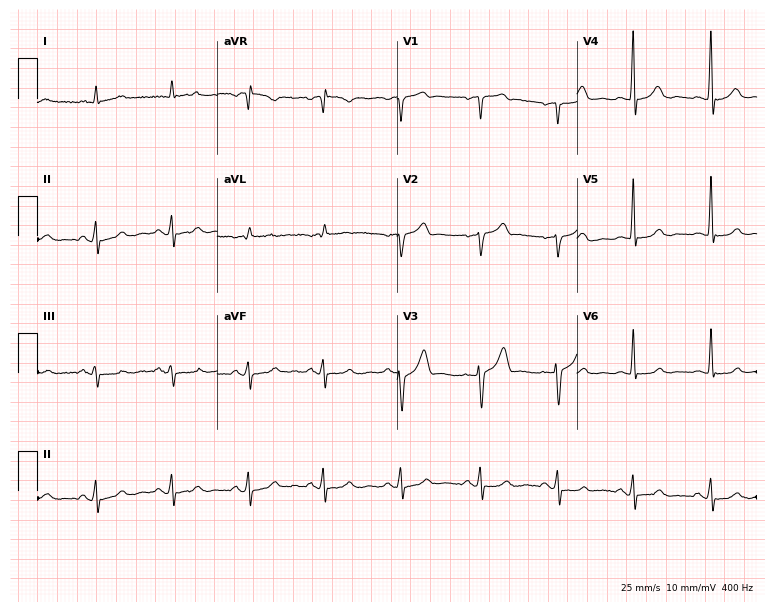
Resting 12-lead electrocardiogram. Patient: a male, 65 years old. None of these six findings is recorded: first-degree AV block, right bundle branch block, left bundle branch block, sinus bradycardia, atrial fibrillation, sinus tachycardia. Only these six findings were labelled.